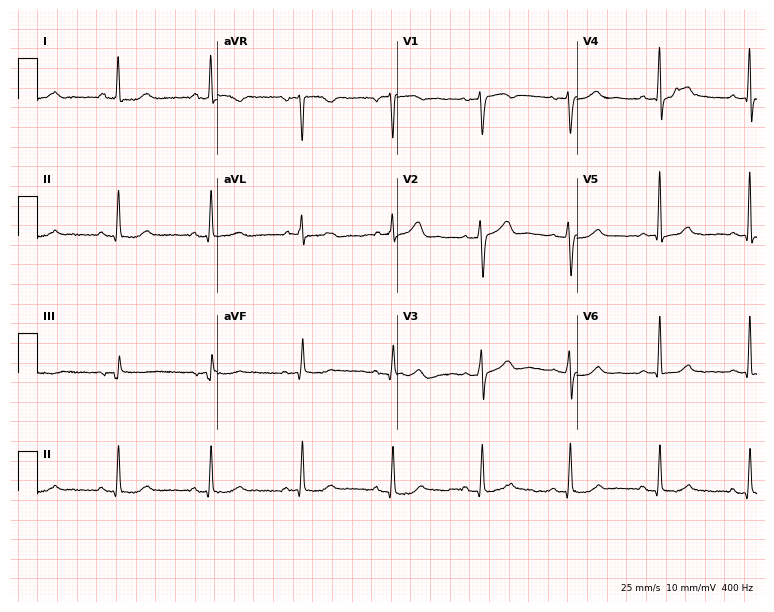
12-lead ECG (7.3-second recording at 400 Hz) from a 60-year-old woman. Screened for six findings — first-degree AV block, right bundle branch block, left bundle branch block, sinus bradycardia, atrial fibrillation, sinus tachycardia — none is recorded.